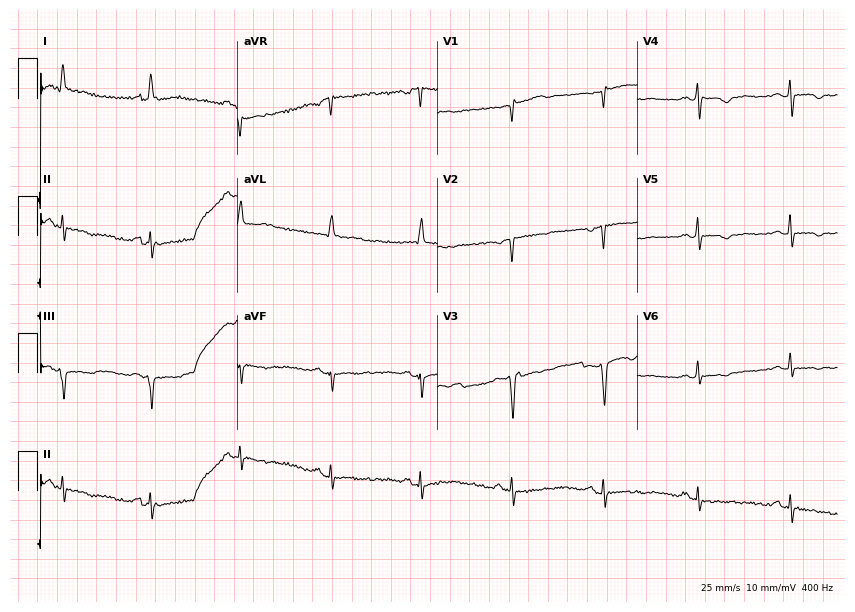
Standard 12-lead ECG recorded from a 66-year-old female patient (8.2-second recording at 400 Hz). None of these six findings is recorded: first-degree AV block, right bundle branch block (RBBB), left bundle branch block (LBBB), sinus bradycardia, atrial fibrillation (AF), sinus tachycardia.